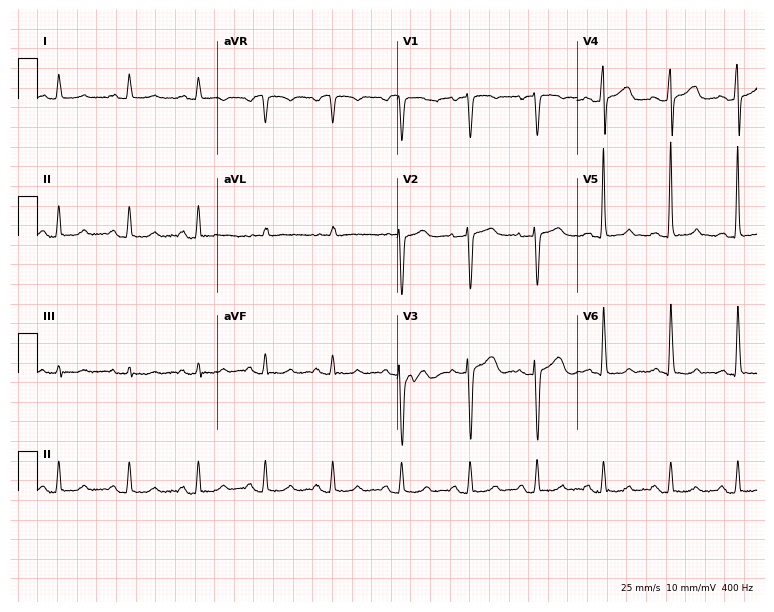
Resting 12-lead electrocardiogram (7.3-second recording at 400 Hz). Patient: a female, 40 years old. None of these six findings is recorded: first-degree AV block, right bundle branch block, left bundle branch block, sinus bradycardia, atrial fibrillation, sinus tachycardia. Findings outside these six are not listed.